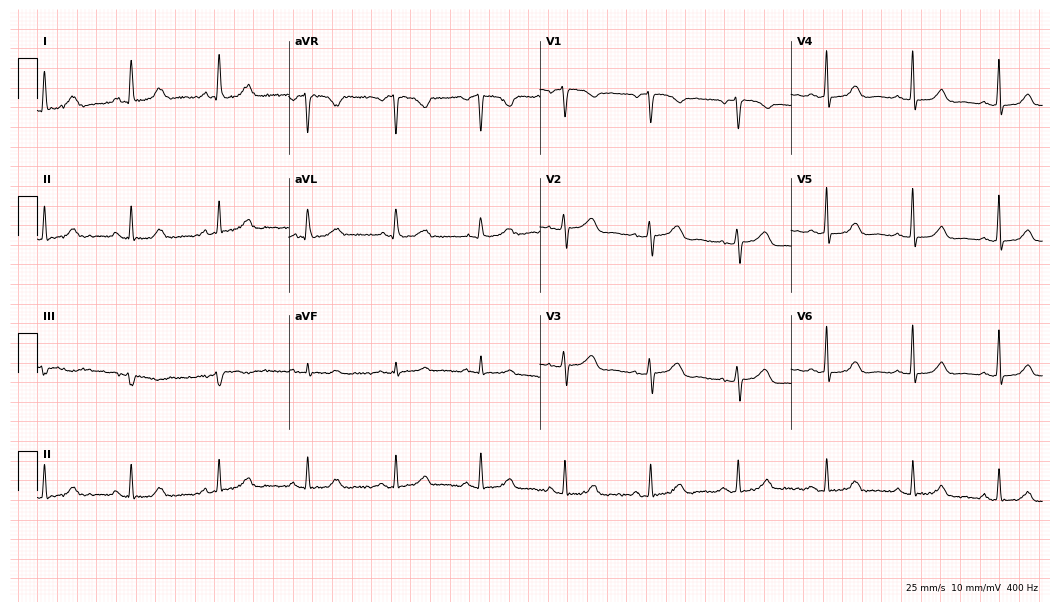
Resting 12-lead electrocardiogram (10.2-second recording at 400 Hz). Patient: a female, 58 years old. Read as a normal ECG.